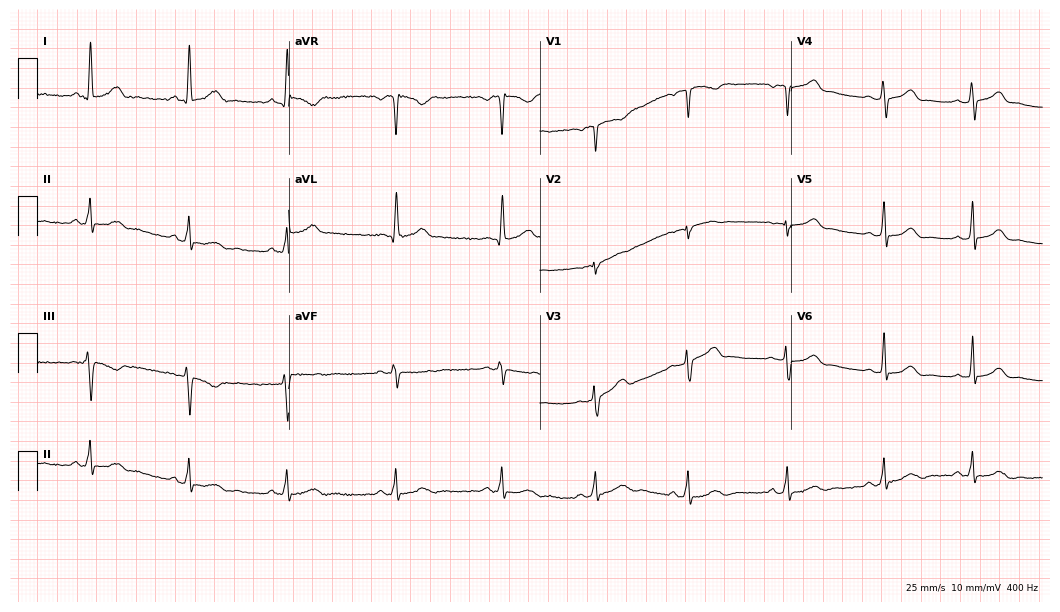
12-lead ECG from a female, 35 years old. Recorded interpretation: within normal limits.